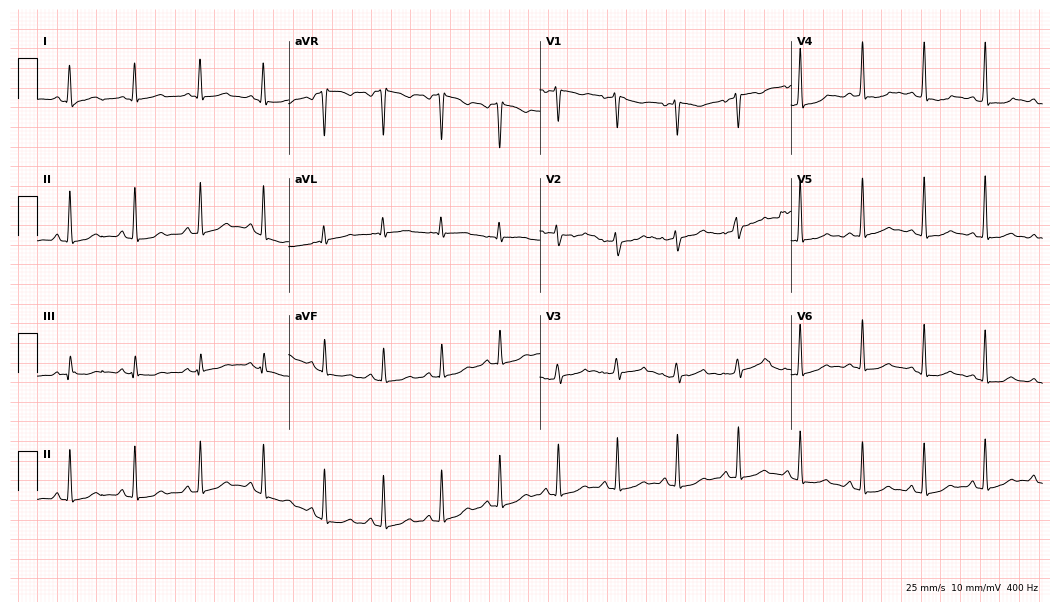
12-lead ECG from a 45-year-old female. Recorded interpretation: within normal limits.